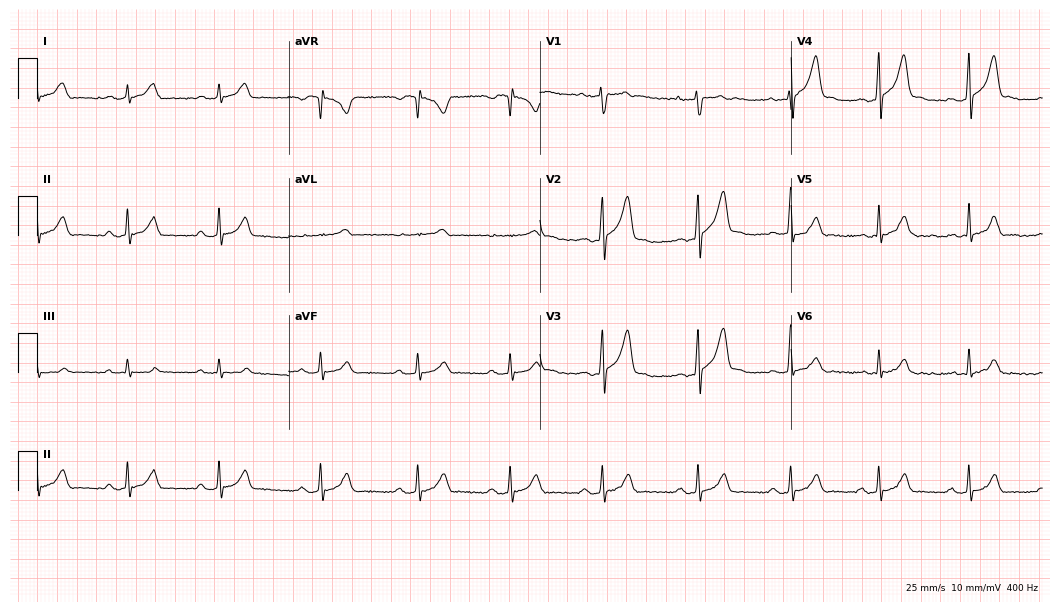
12-lead ECG from a 25-year-old male patient. Recorded interpretation: within normal limits.